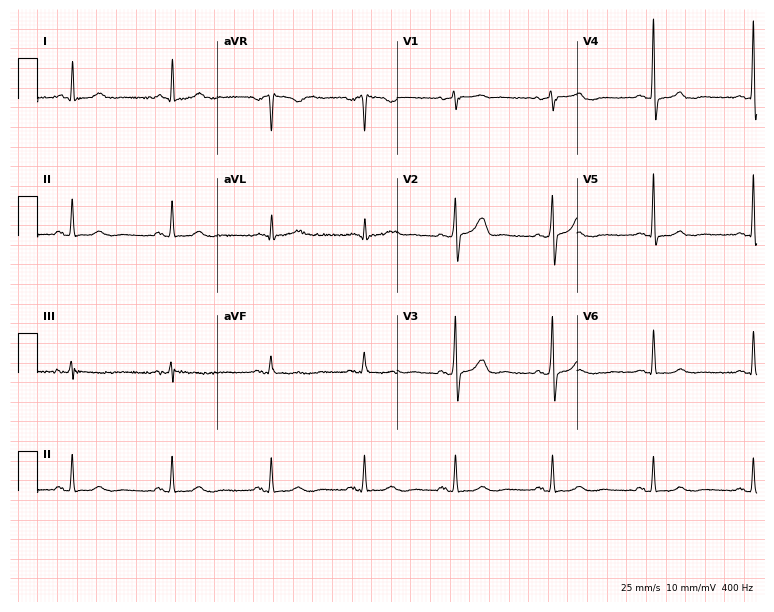
12-lead ECG from a 49-year-old female. Screened for six findings — first-degree AV block, right bundle branch block, left bundle branch block, sinus bradycardia, atrial fibrillation, sinus tachycardia — none is recorded.